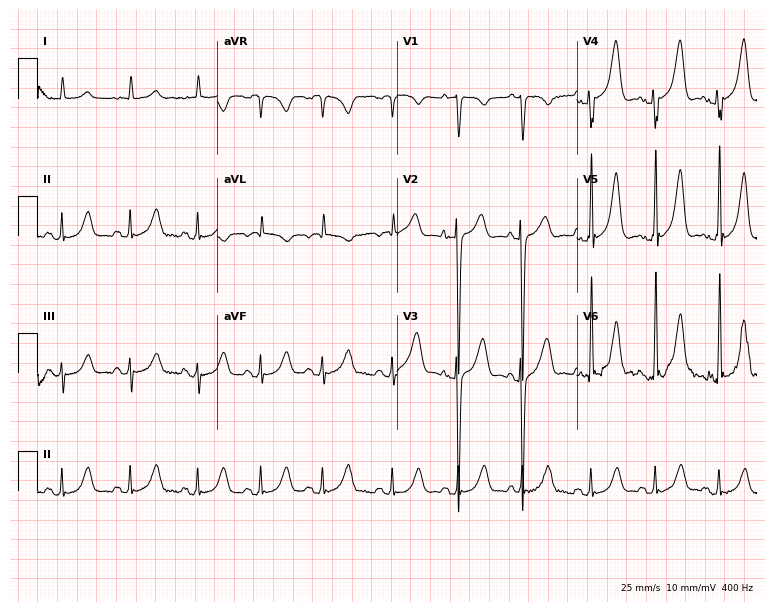
12-lead ECG from an 81-year-old male. Screened for six findings — first-degree AV block, right bundle branch block, left bundle branch block, sinus bradycardia, atrial fibrillation, sinus tachycardia — none is recorded.